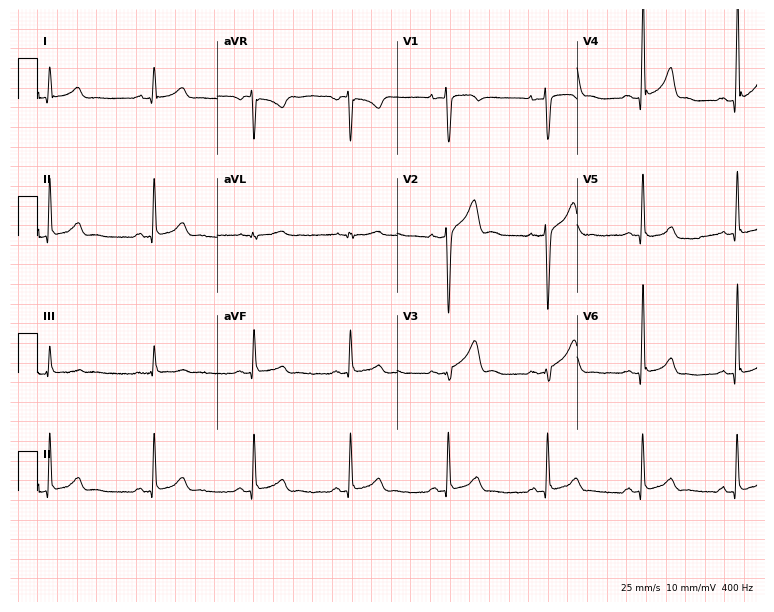
Electrocardiogram, a man, 24 years old. Overall reading on record: normal ECG.